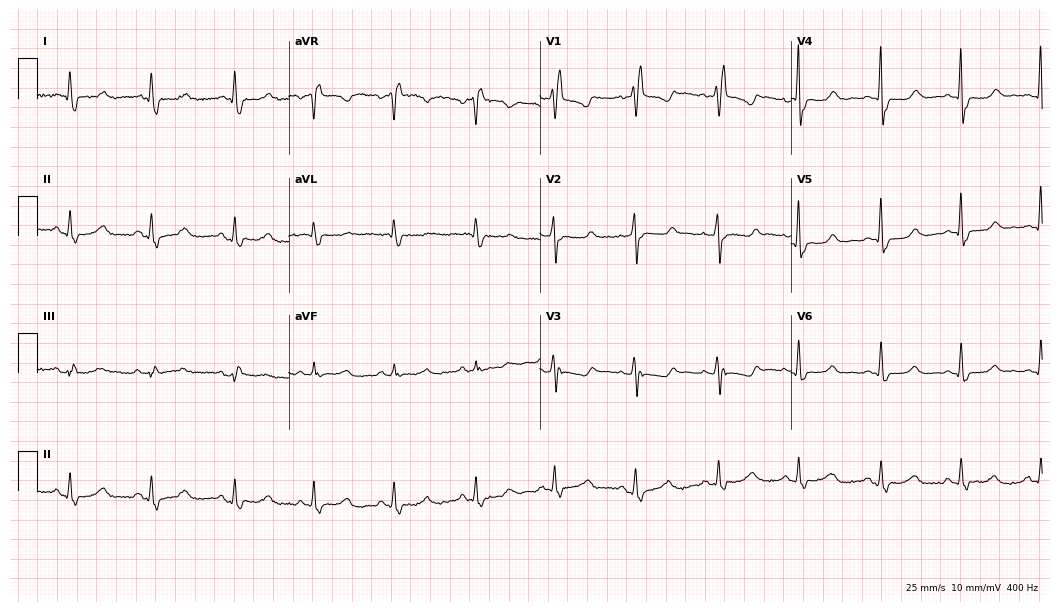
12-lead ECG (10.2-second recording at 400 Hz) from a 76-year-old female. Findings include right bundle branch block.